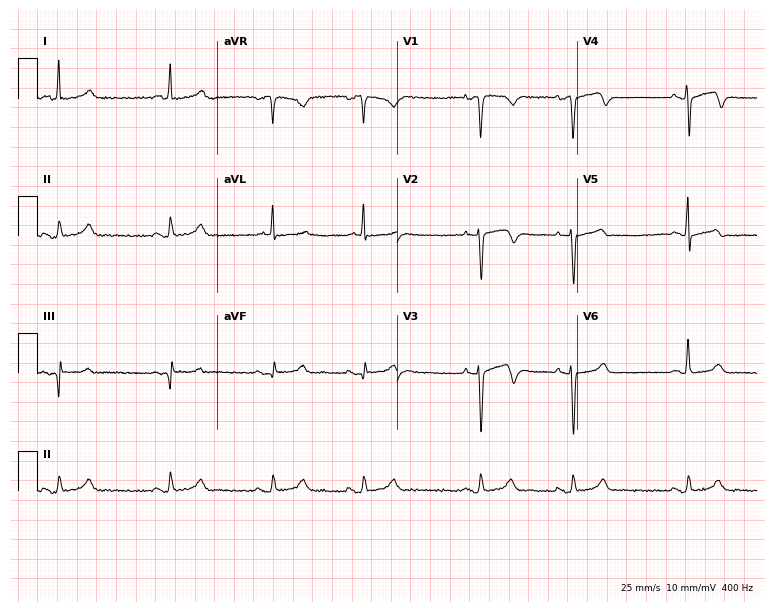
12-lead ECG from a female, 79 years old. Screened for six findings — first-degree AV block, right bundle branch block, left bundle branch block, sinus bradycardia, atrial fibrillation, sinus tachycardia — none is recorded.